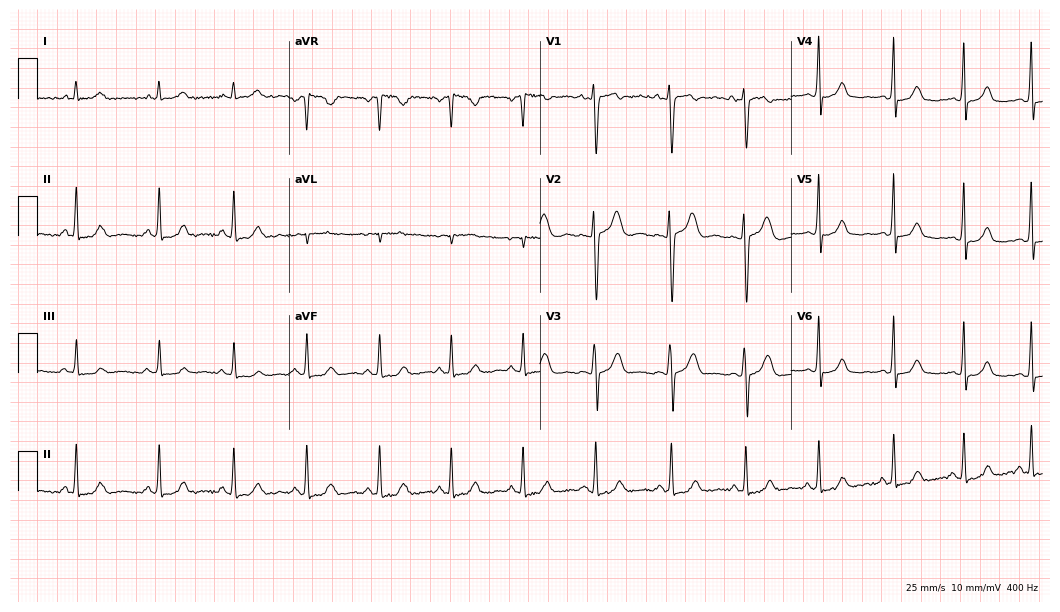
Standard 12-lead ECG recorded from a 27-year-old female patient. Read as a normal ECG.